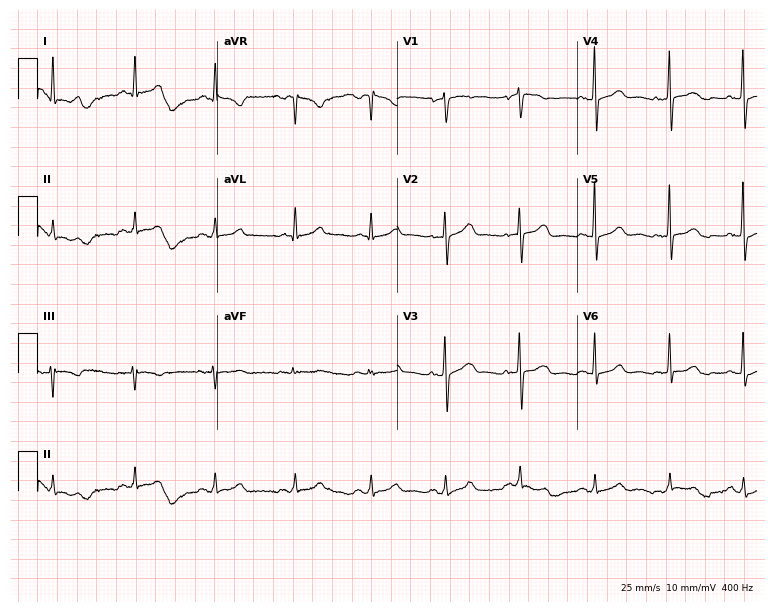
ECG (7.3-second recording at 400 Hz) — a female patient, 48 years old. Labelled as a normal ECG.